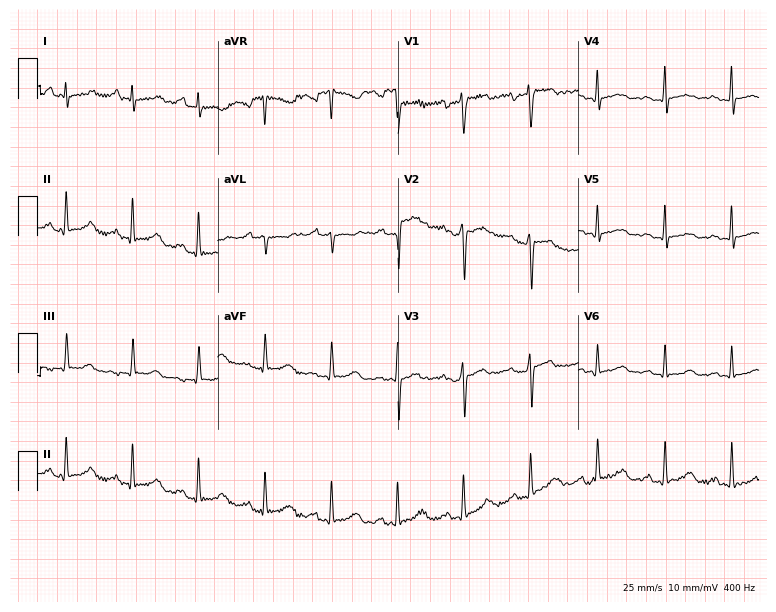
ECG (7.4-second recording at 400 Hz) — a 34-year-old female. Screened for six findings — first-degree AV block, right bundle branch block, left bundle branch block, sinus bradycardia, atrial fibrillation, sinus tachycardia — none is recorded. Only these six findings were labelled.